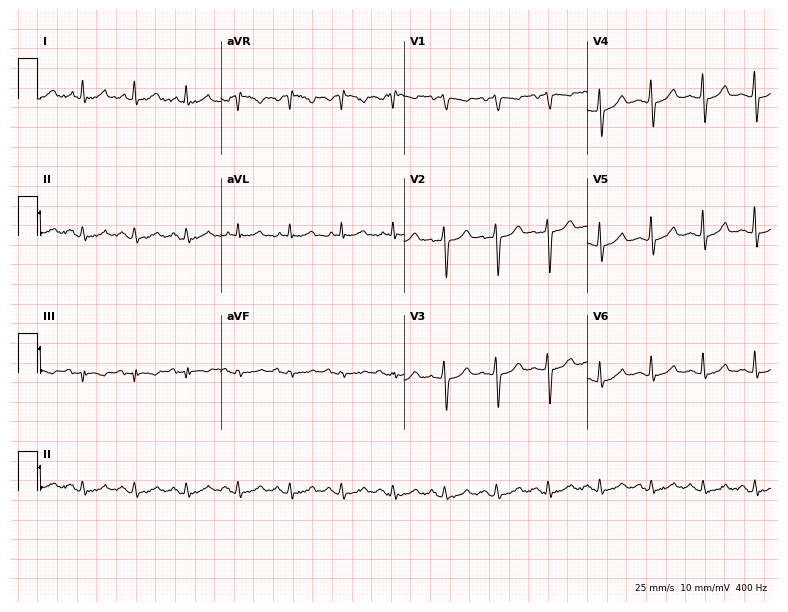
12-lead ECG from a 64-year-old man. Shows sinus tachycardia (a sinus rate of 100 beats per minute or more).